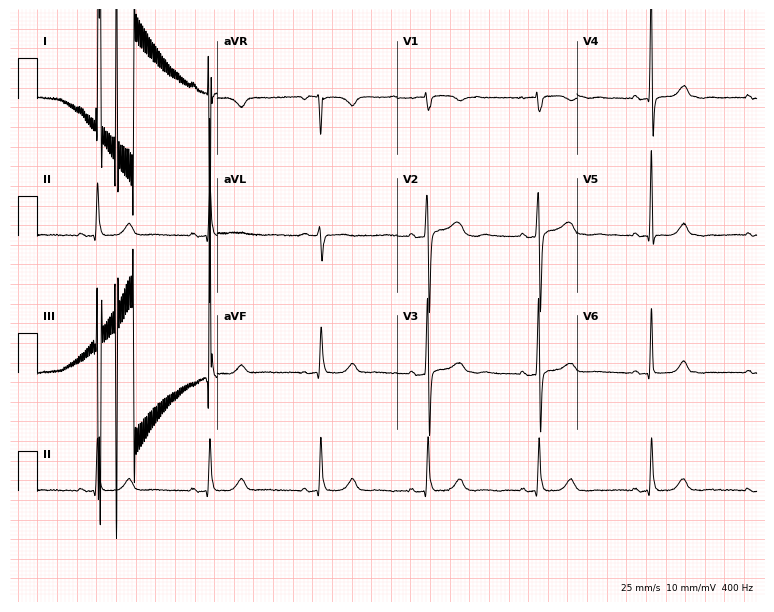
12-lead ECG from a 55-year-old female patient. Recorded interpretation: within normal limits.